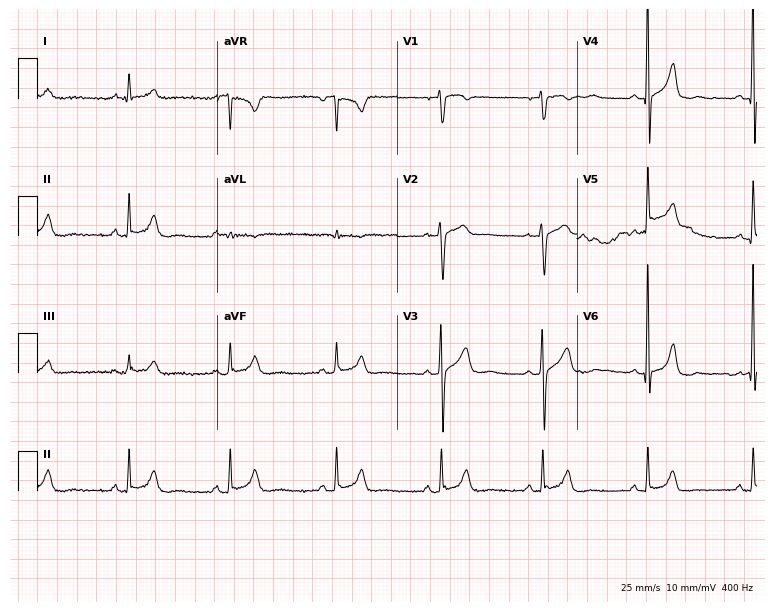
12-lead ECG from a 66-year-old male patient (7.3-second recording at 400 Hz). Recorded interpretation: within normal limits.